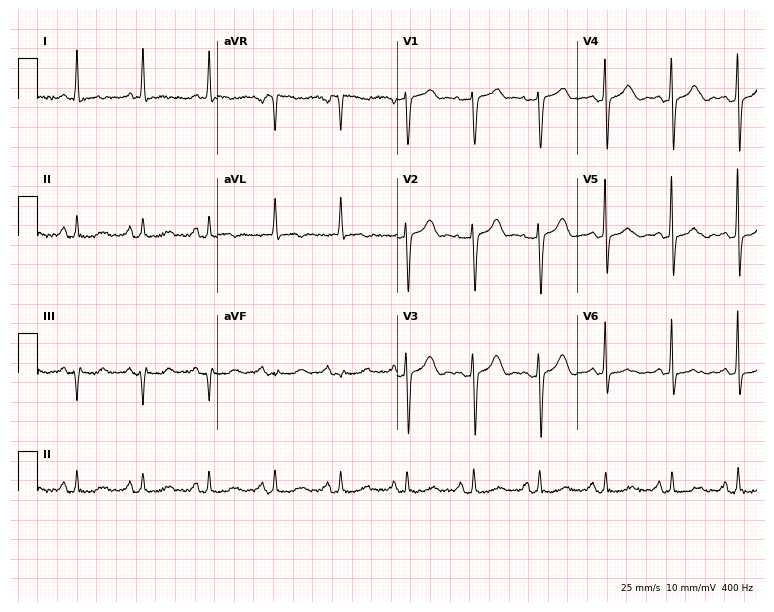
Electrocardiogram, a woman, 60 years old. Of the six screened findings (first-degree AV block, right bundle branch block (RBBB), left bundle branch block (LBBB), sinus bradycardia, atrial fibrillation (AF), sinus tachycardia), none is recorded.